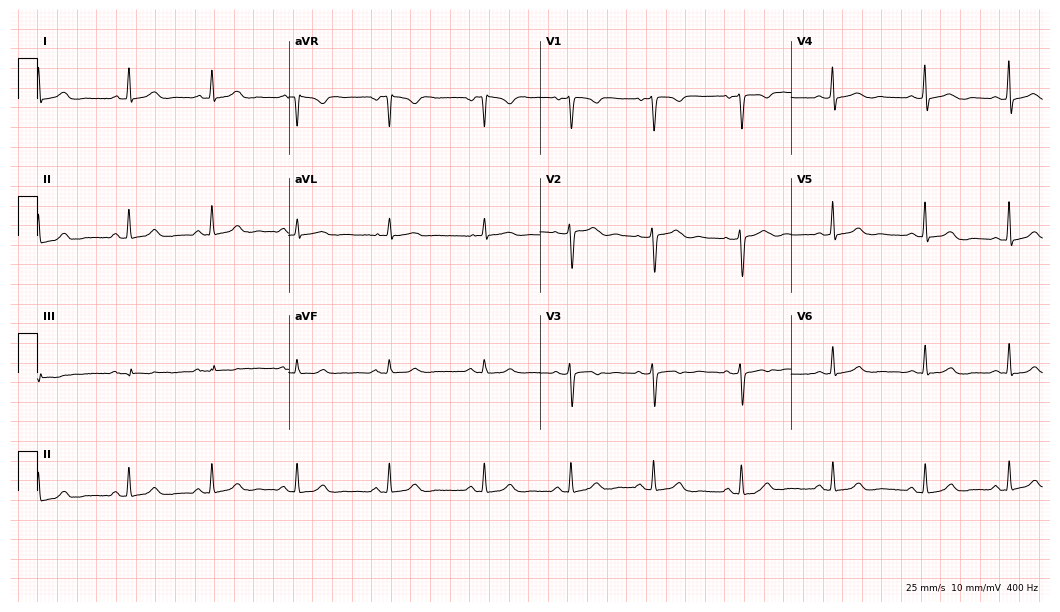
Electrocardiogram (10.2-second recording at 400 Hz), a female patient, 47 years old. Overall reading on record: normal ECG.